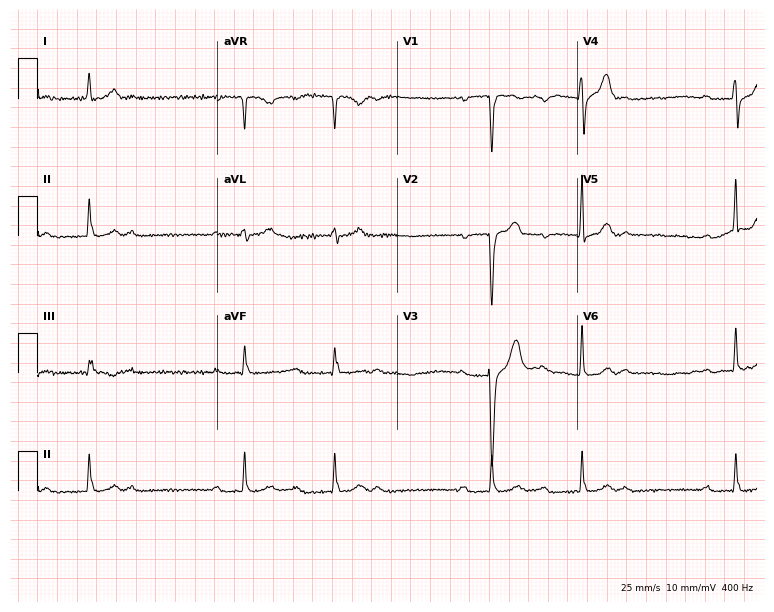
12-lead ECG from a man, 80 years old. Screened for six findings — first-degree AV block, right bundle branch block, left bundle branch block, sinus bradycardia, atrial fibrillation, sinus tachycardia — none is recorded. Other findings, if any, are not listed.